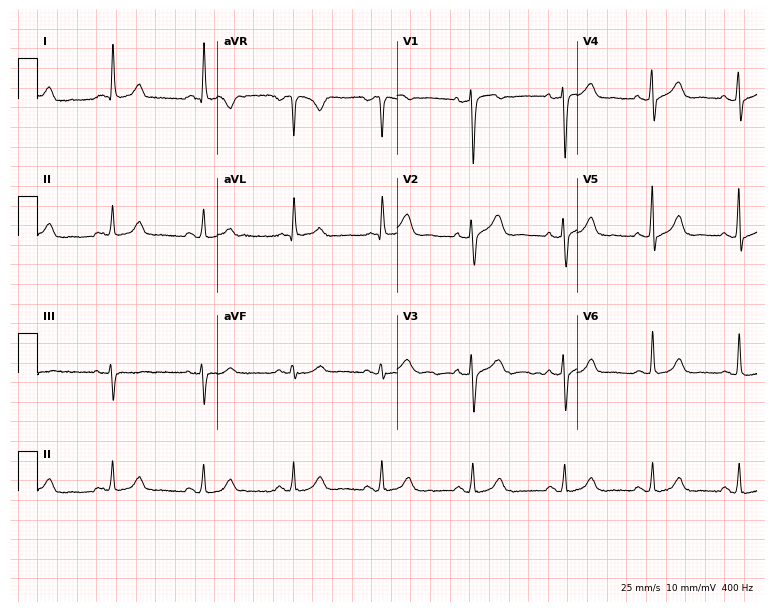
ECG — a female patient, 50 years old. Labelled as a normal ECG.